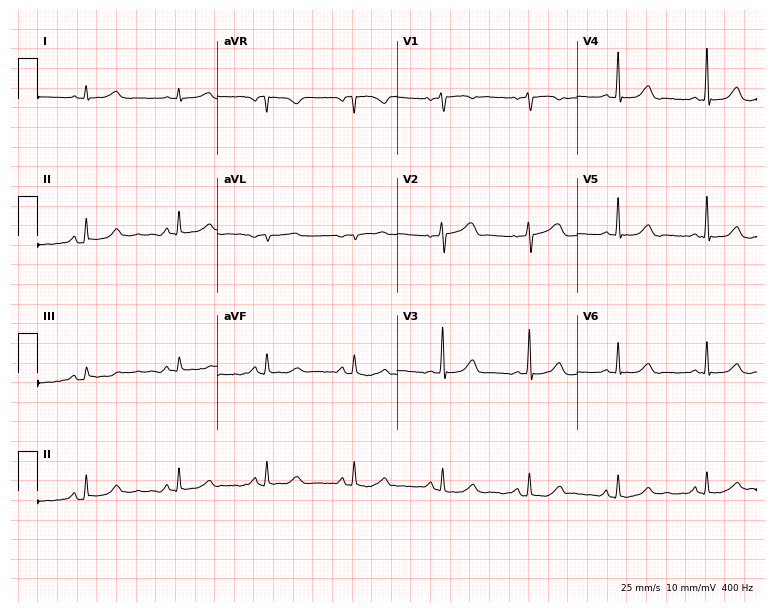
Resting 12-lead electrocardiogram. Patient: a 57-year-old woman. None of these six findings is recorded: first-degree AV block, right bundle branch block, left bundle branch block, sinus bradycardia, atrial fibrillation, sinus tachycardia. Findings outside these six are not listed.